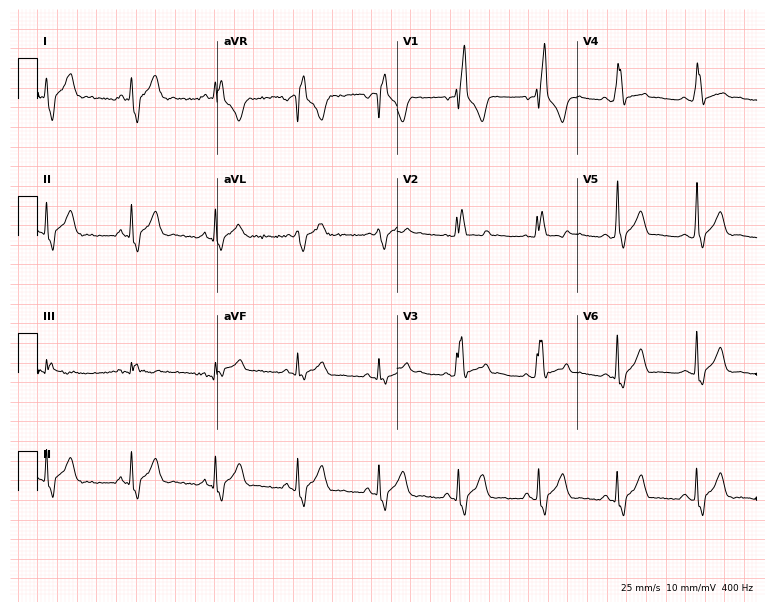
Standard 12-lead ECG recorded from a male, 25 years old. The tracing shows right bundle branch block.